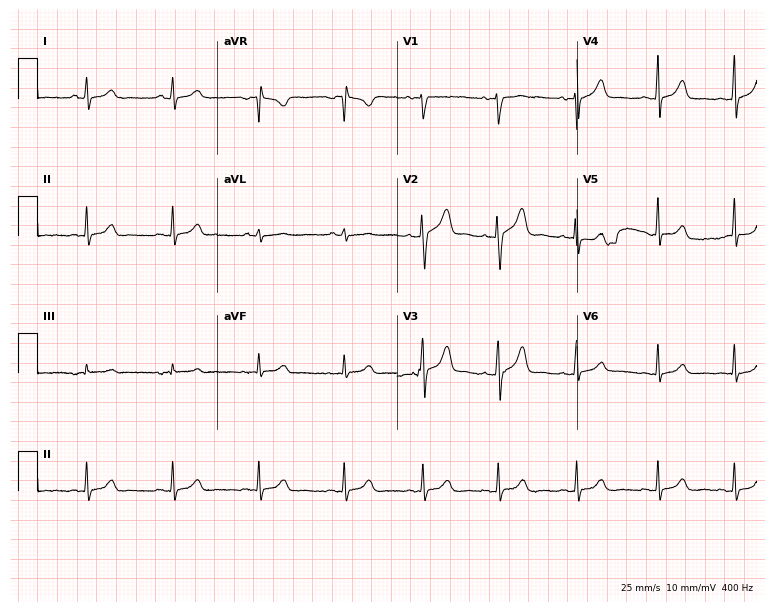
12-lead ECG from a 17-year-old female patient. Screened for six findings — first-degree AV block, right bundle branch block, left bundle branch block, sinus bradycardia, atrial fibrillation, sinus tachycardia — none is recorded. Only these six findings were labelled.